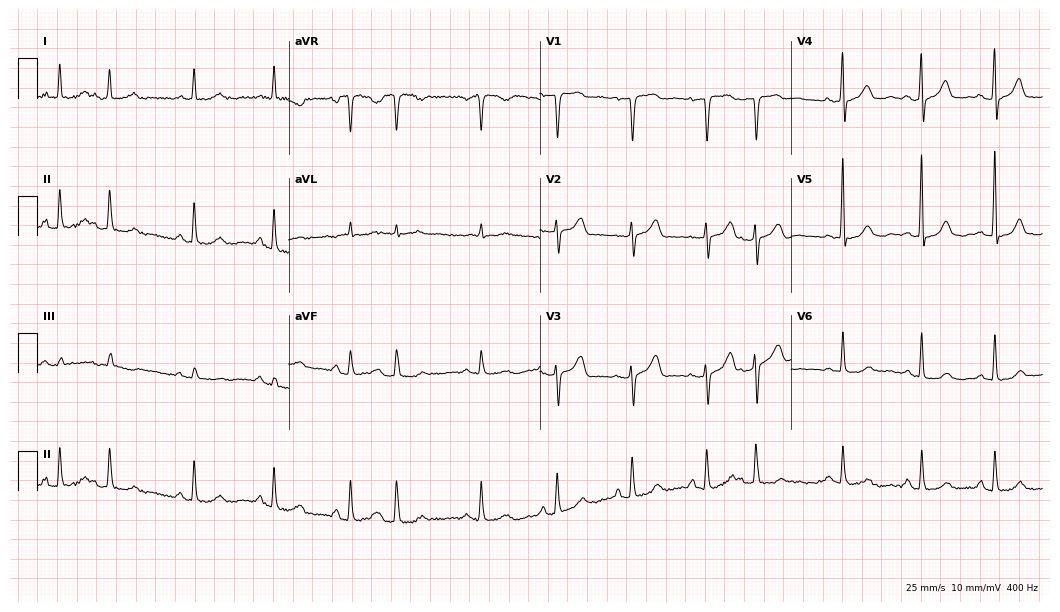
12-lead ECG from a 69-year-old woman (10.2-second recording at 400 Hz). No first-degree AV block, right bundle branch block, left bundle branch block, sinus bradycardia, atrial fibrillation or sinus tachycardia recorded for this tracing. Findings outside these six are not listed.